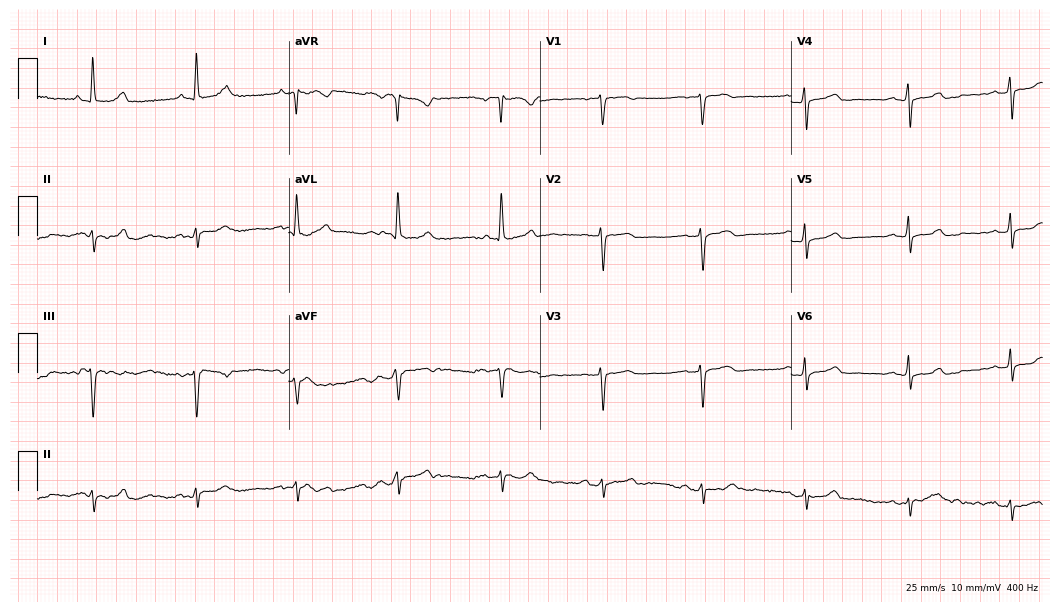
12-lead ECG (10.2-second recording at 400 Hz) from a 71-year-old female. Labelled as a normal ECG.